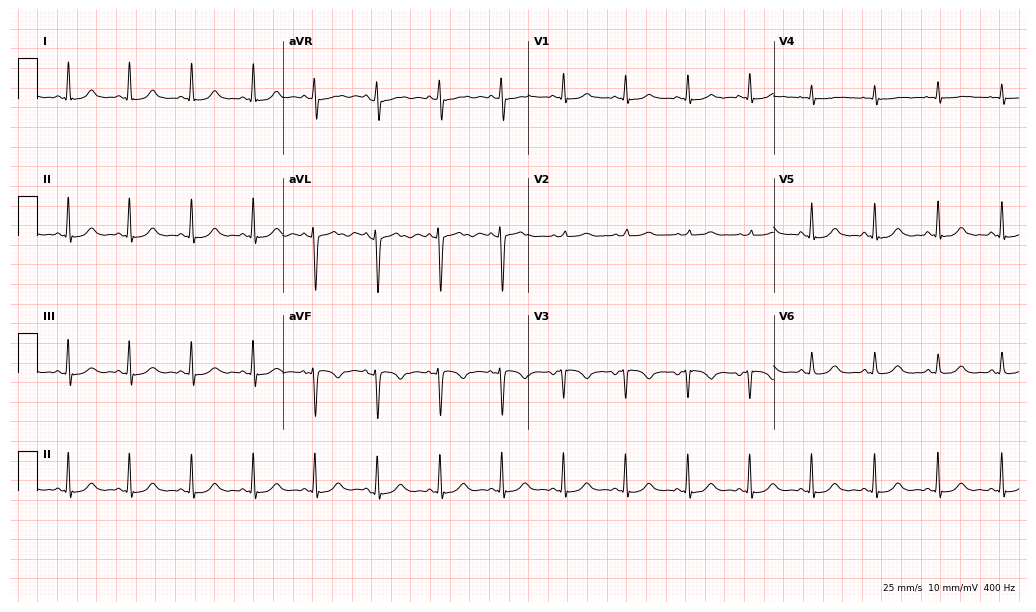
Electrocardiogram, a female patient, 44 years old. Of the six screened findings (first-degree AV block, right bundle branch block, left bundle branch block, sinus bradycardia, atrial fibrillation, sinus tachycardia), none is recorded.